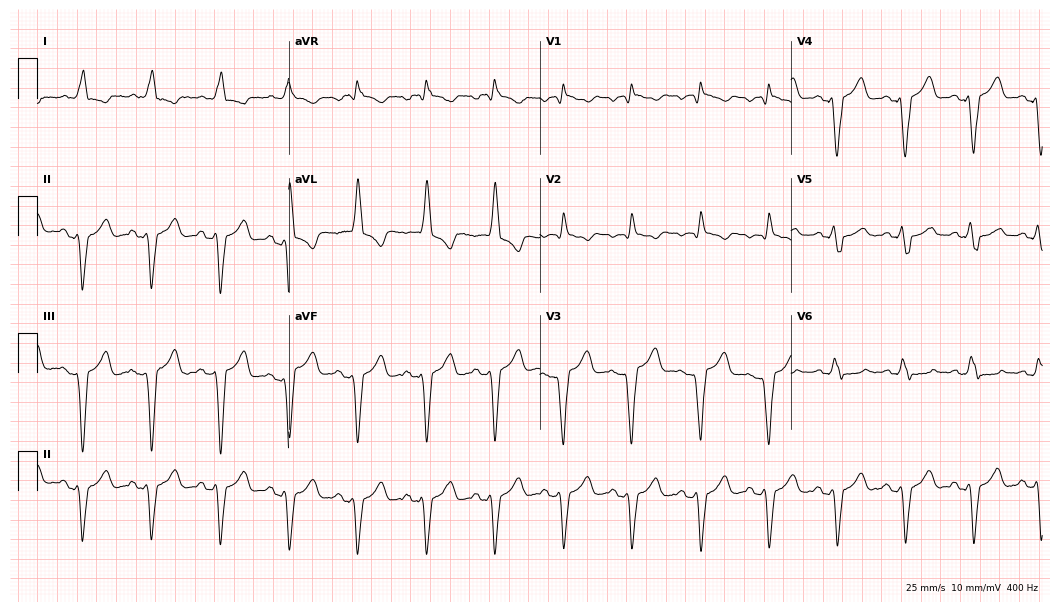
Electrocardiogram (10.2-second recording at 400 Hz), a woman, 74 years old. Interpretation includes right bundle branch block.